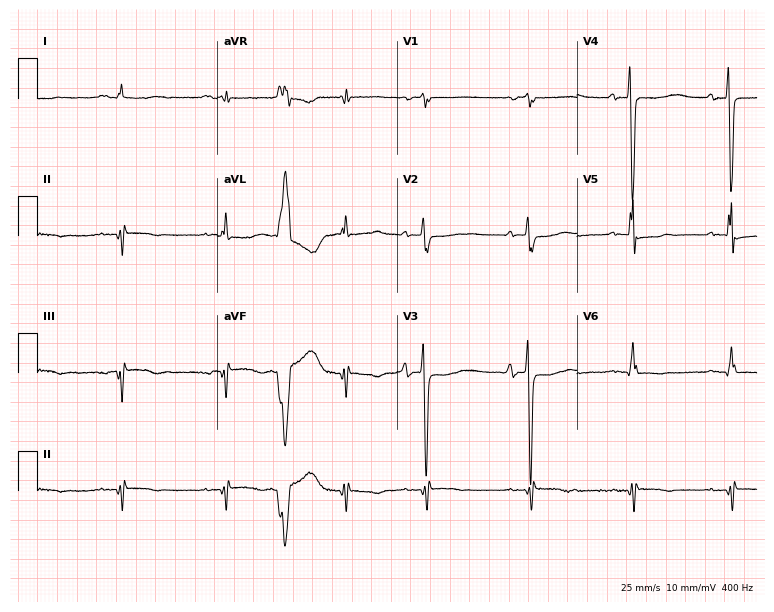
Resting 12-lead electrocardiogram (7.3-second recording at 400 Hz). Patient: a 54-year-old male. None of these six findings is recorded: first-degree AV block, right bundle branch block (RBBB), left bundle branch block (LBBB), sinus bradycardia, atrial fibrillation (AF), sinus tachycardia. Other findings, if any, are not listed.